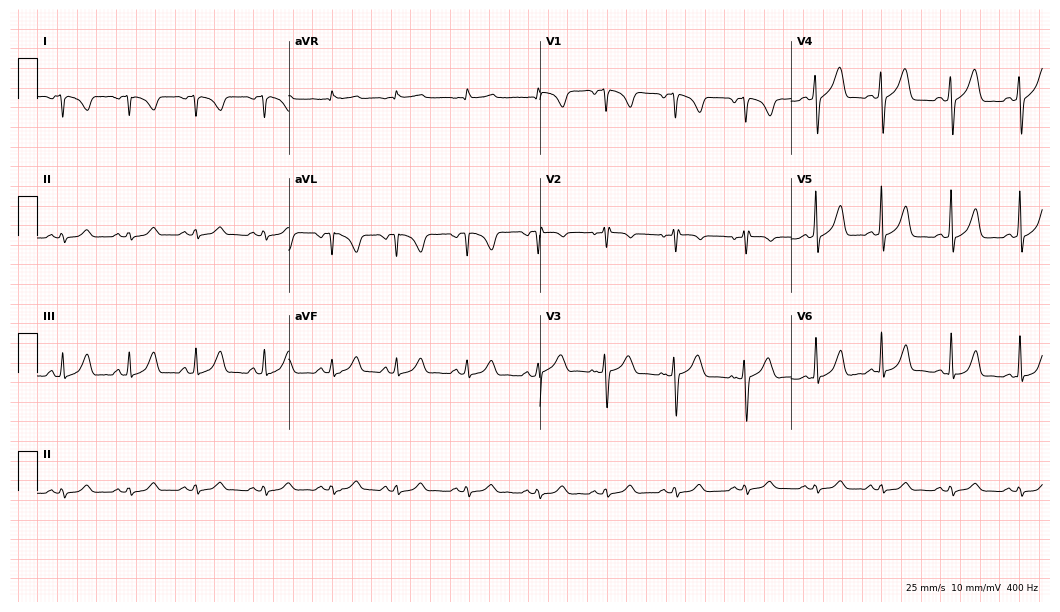
12-lead ECG (10.2-second recording at 400 Hz) from a woman, 47 years old. Labelled as a normal ECG.